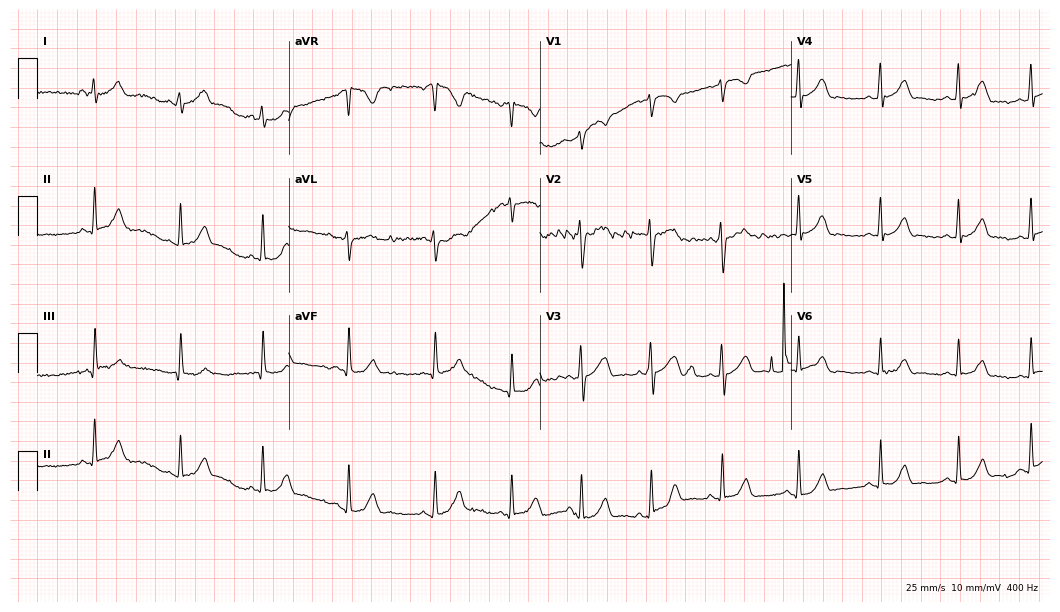
Electrocardiogram, a 23-year-old female. Overall reading on record: normal ECG.